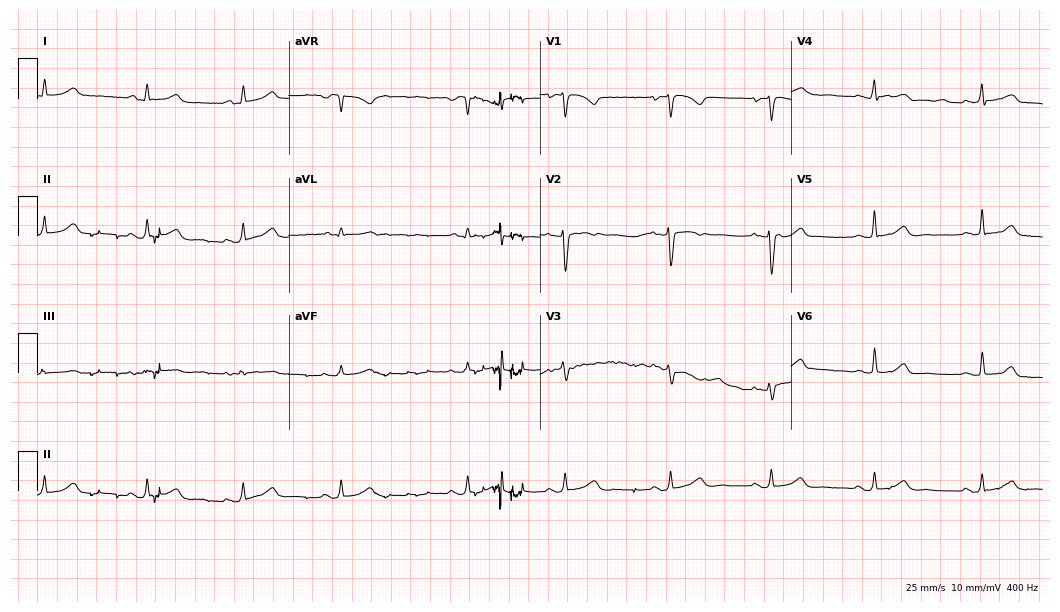
Resting 12-lead electrocardiogram (10.2-second recording at 400 Hz). Patient: a 30-year-old female. Read as a normal ECG.